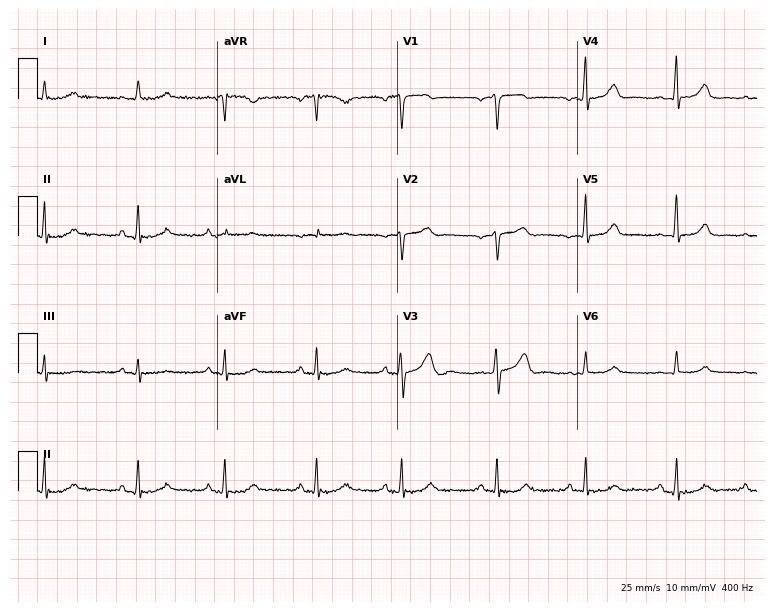
12-lead ECG from a 78-year-old man (7.3-second recording at 400 Hz). Recorded interpretation: within normal limits.